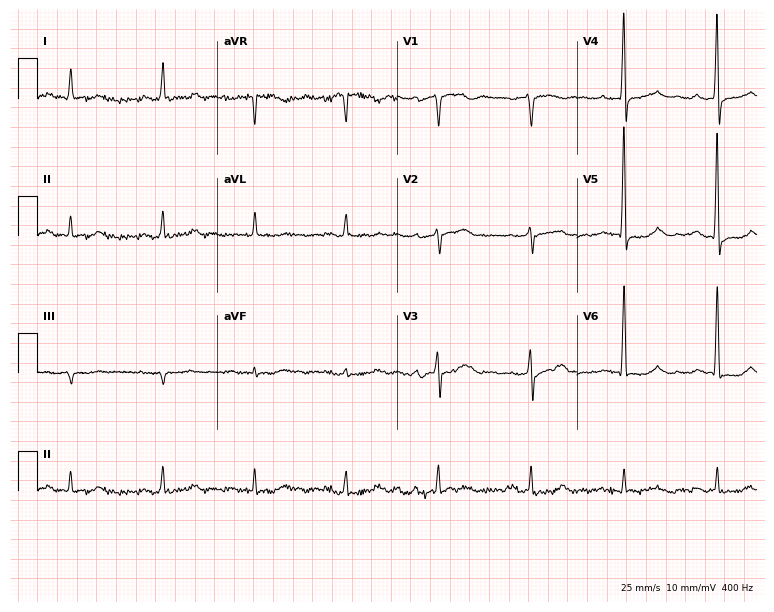
Resting 12-lead electrocardiogram. Patient: an 85-year-old male. The tracing shows first-degree AV block.